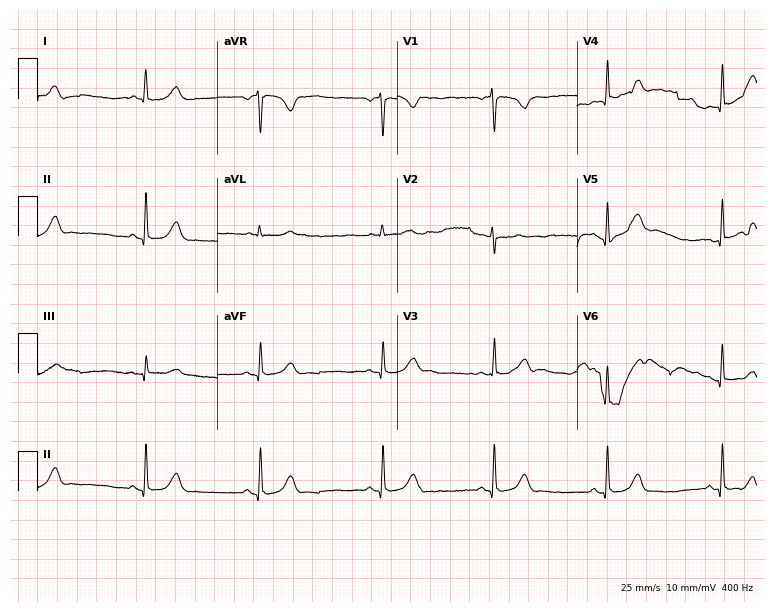
Resting 12-lead electrocardiogram (7.3-second recording at 400 Hz). Patient: a 32-year-old woman. None of these six findings is recorded: first-degree AV block, right bundle branch block, left bundle branch block, sinus bradycardia, atrial fibrillation, sinus tachycardia.